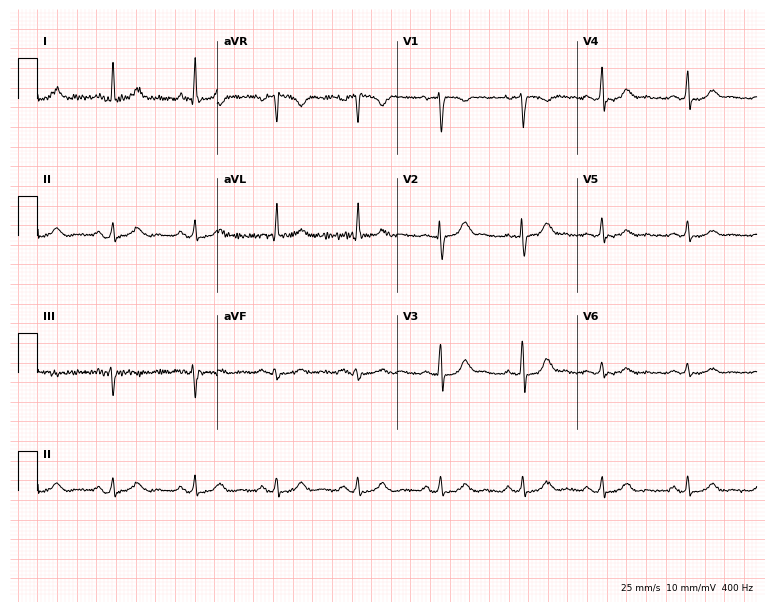
12-lead ECG (7.3-second recording at 400 Hz) from a 46-year-old female patient. Screened for six findings — first-degree AV block, right bundle branch block, left bundle branch block, sinus bradycardia, atrial fibrillation, sinus tachycardia — none is recorded.